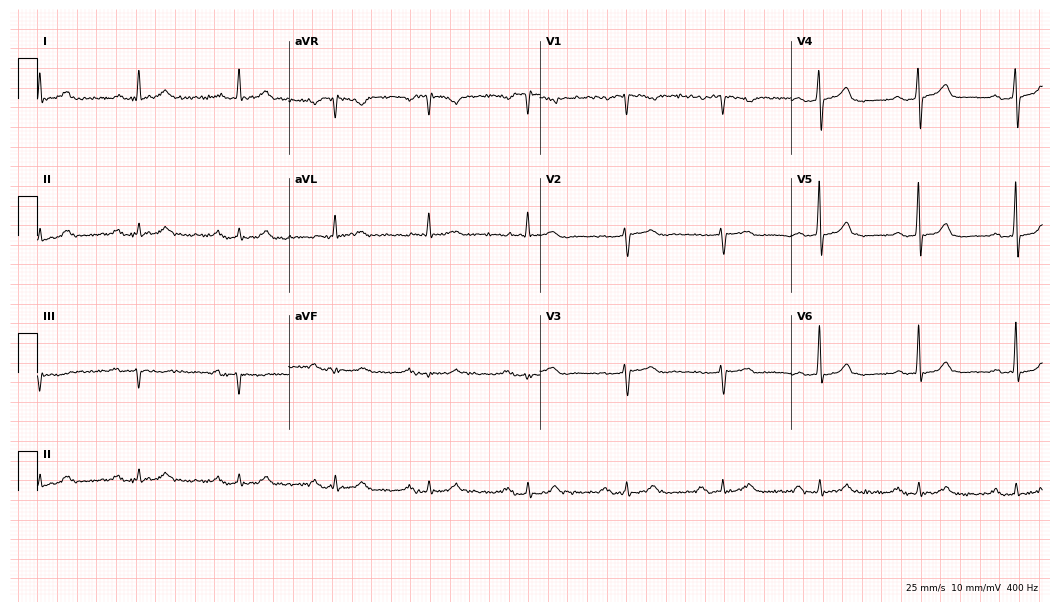
12-lead ECG from a 75-year-old male (10.2-second recording at 400 Hz). Shows first-degree AV block.